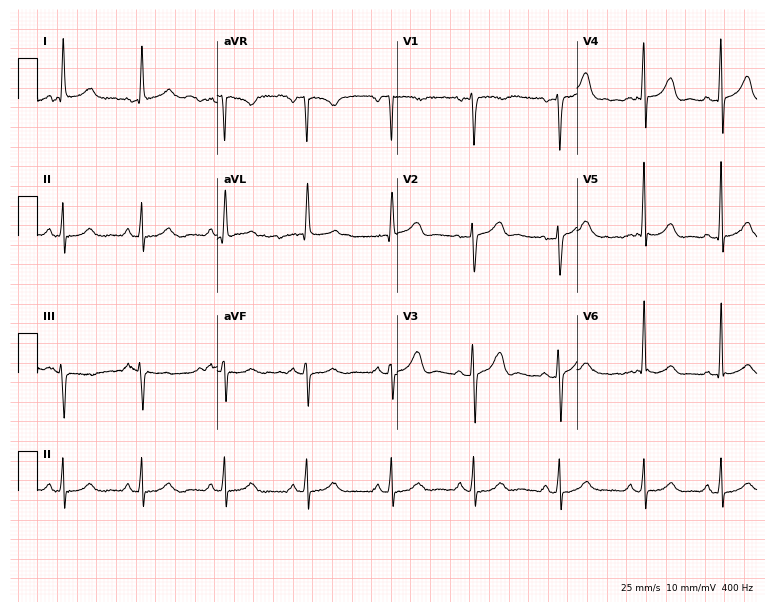
ECG — a woman, 65 years old. Labelled as a normal ECG.